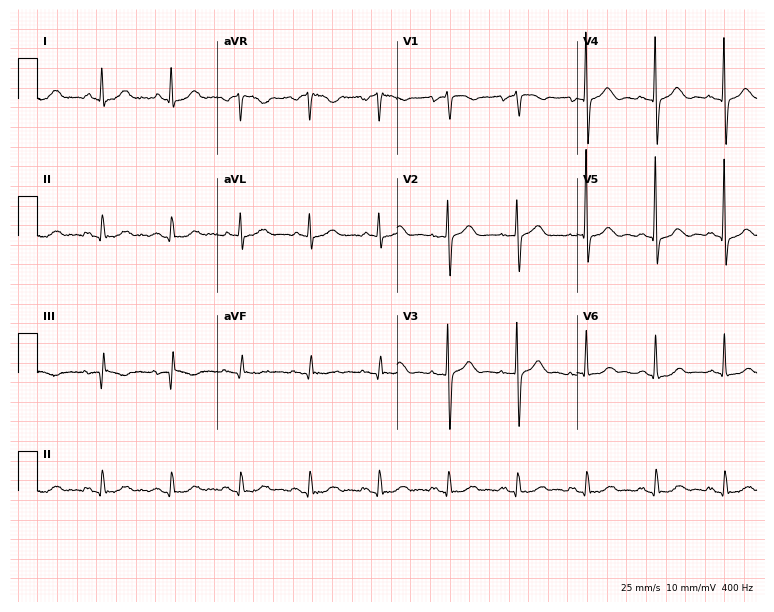
12-lead ECG from a female patient, 82 years old. Screened for six findings — first-degree AV block, right bundle branch block, left bundle branch block, sinus bradycardia, atrial fibrillation, sinus tachycardia — none is recorded.